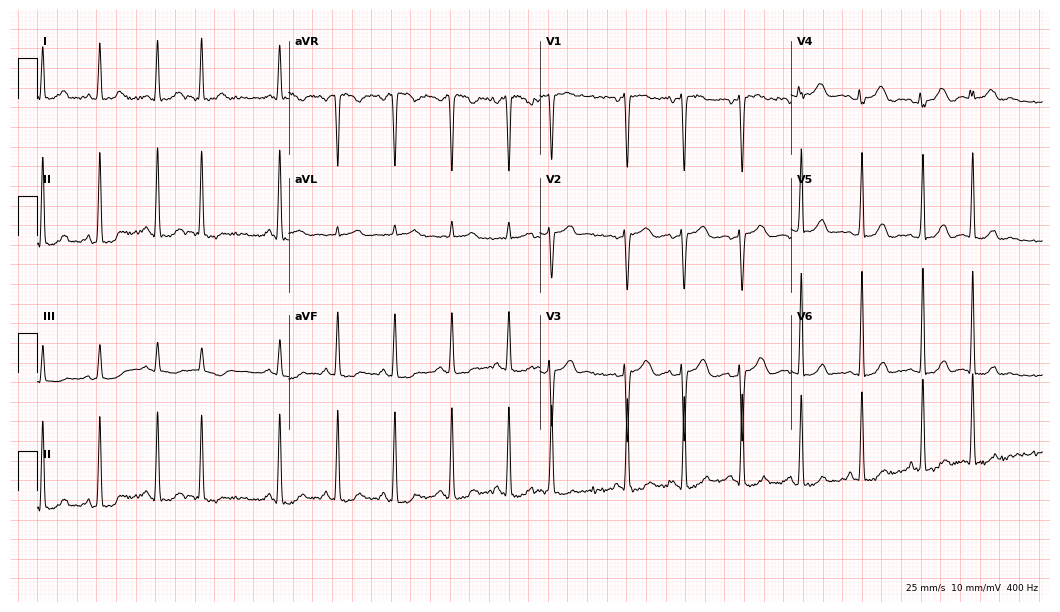
Electrocardiogram (10.2-second recording at 400 Hz), a 38-year-old female. Of the six screened findings (first-degree AV block, right bundle branch block (RBBB), left bundle branch block (LBBB), sinus bradycardia, atrial fibrillation (AF), sinus tachycardia), none is recorded.